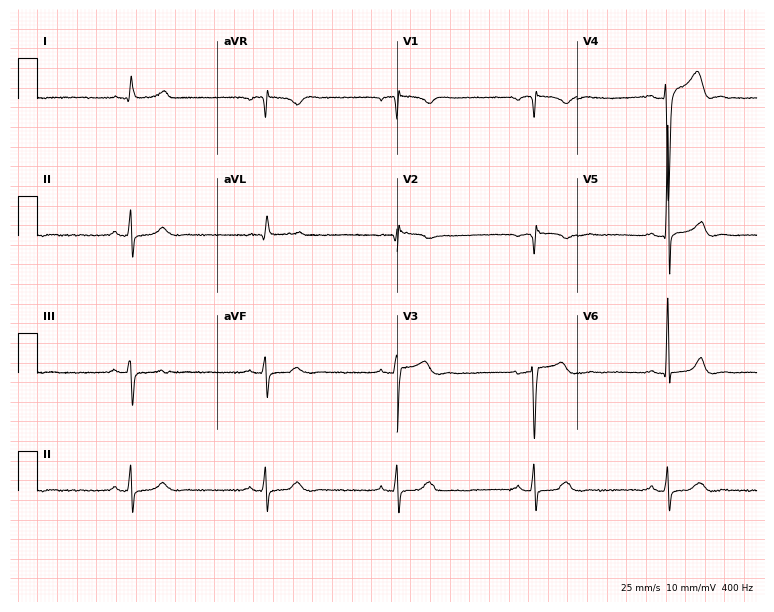
12-lead ECG from a 48-year-old man. Shows sinus bradycardia (a sinus rate of 50 beats per minute or less).